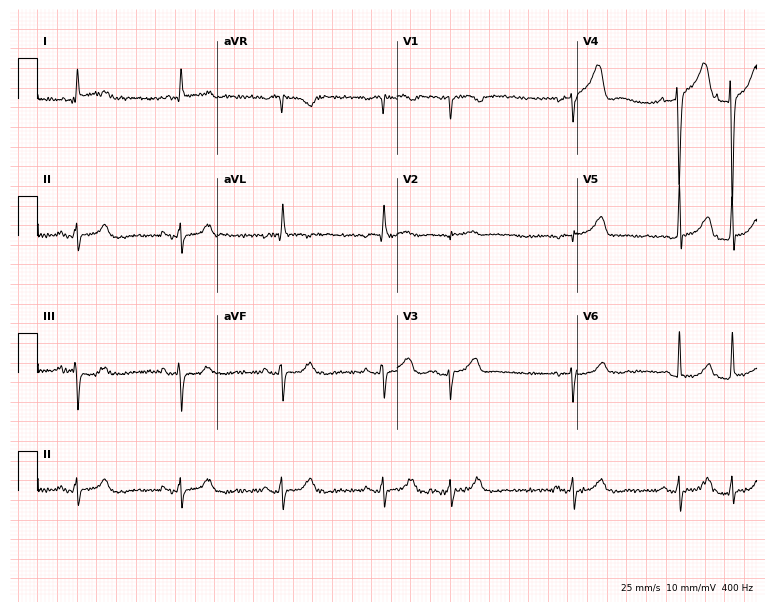
Resting 12-lead electrocardiogram (7.3-second recording at 400 Hz). Patient: an 84-year-old female. None of these six findings is recorded: first-degree AV block, right bundle branch block (RBBB), left bundle branch block (LBBB), sinus bradycardia, atrial fibrillation (AF), sinus tachycardia.